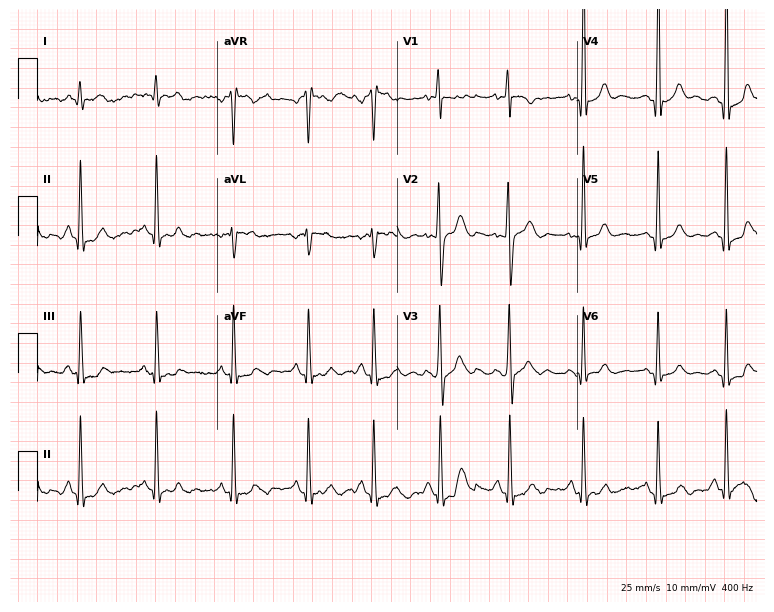
ECG — an 18-year-old male patient. Labelled as a normal ECG.